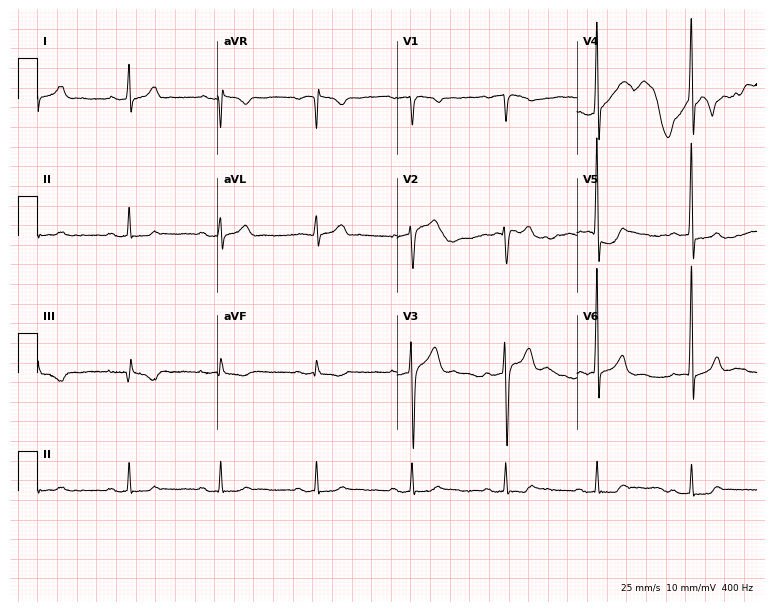
Standard 12-lead ECG recorded from a male patient, 26 years old (7.3-second recording at 400 Hz). None of these six findings is recorded: first-degree AV block, right bundle branch block, left bundle branch block, sinus bradycardia, atrial fibrillation, sinus tachycardia.